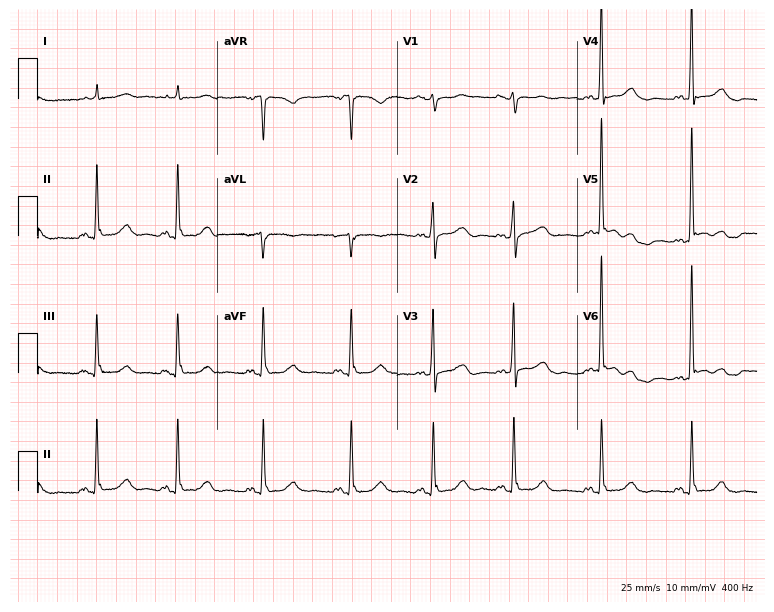
ECG — a 60-year-old woman. Labelled as a normal ECG.